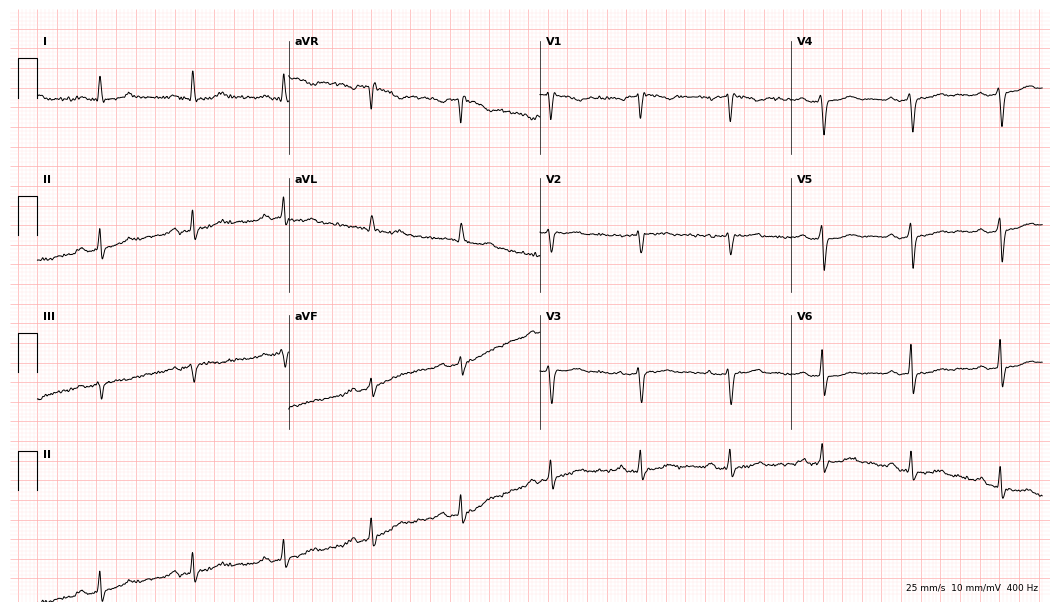
Resting 12-lead electrocardiogram (10.2-second recording at 400 Hz). Patient: a 49-year-old female. The tracing shows first-degree AV block.